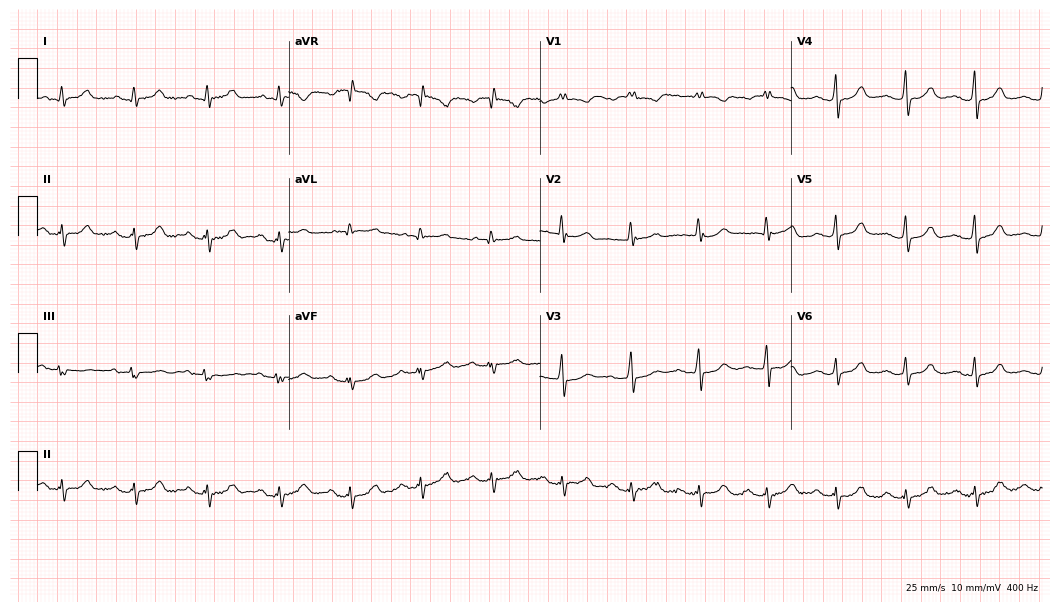
Electrocardiogram, a female patient, 51 years old. Of the six screened findings (first-degree AV block, right bundle branch block, left bundle branch block, sinus bradycardia, atrial fibrillation, sinus tachycardia), none is recorded. Other findings, if any, are not listed.